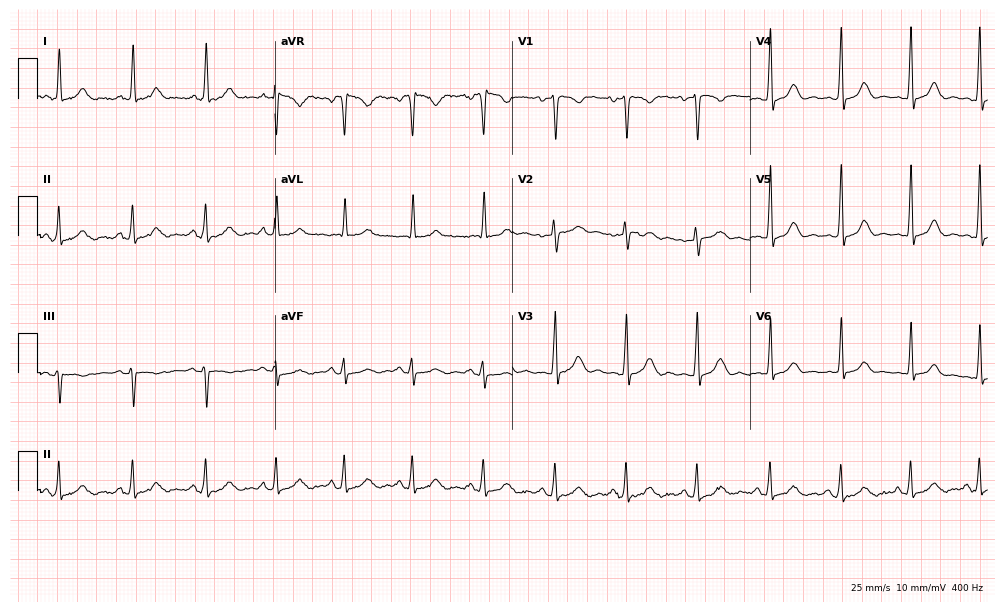
12-lead ECG from a female, 48 years old. Labelled as a normal ECG.